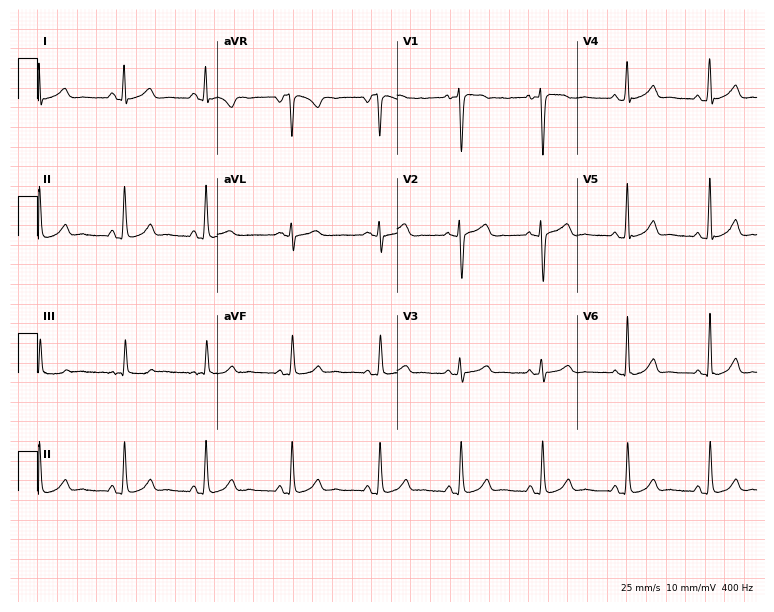
Electrocardiogram, a 22-year-old female. Overall reading on record: normal ECG.